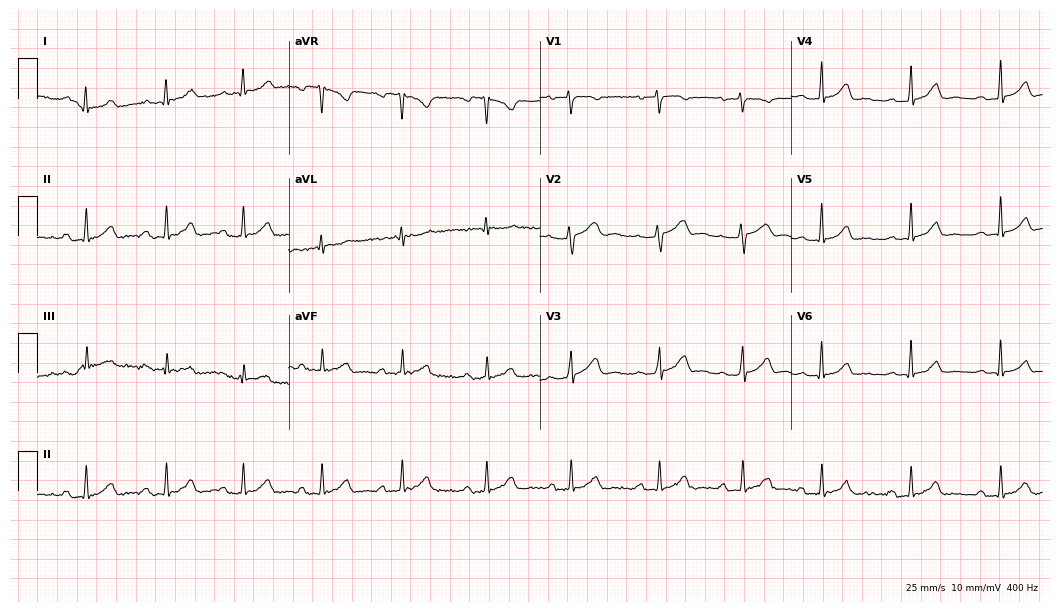
Standard 12-lead ECG recorded from a 31-year-old woman. The tracing shows first-degree AV block.